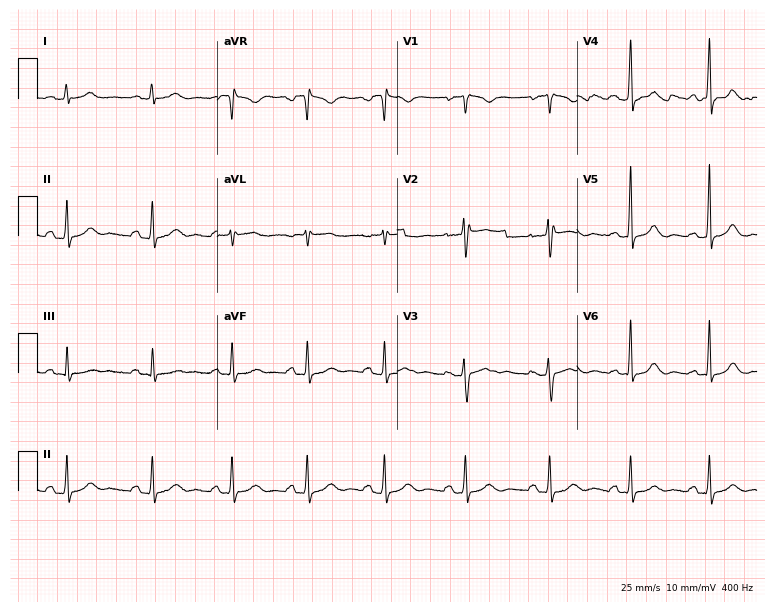
Resting 12-lead electrocardiogram (7.3-second recording at 400 Hz). Patient: a female, 36 years old. None of these six findings is recorded: first-degree AV block, right bundle branch block, left bundle branch block, sinus bradycardia, atrial fibrillation, sinus tachycardia.